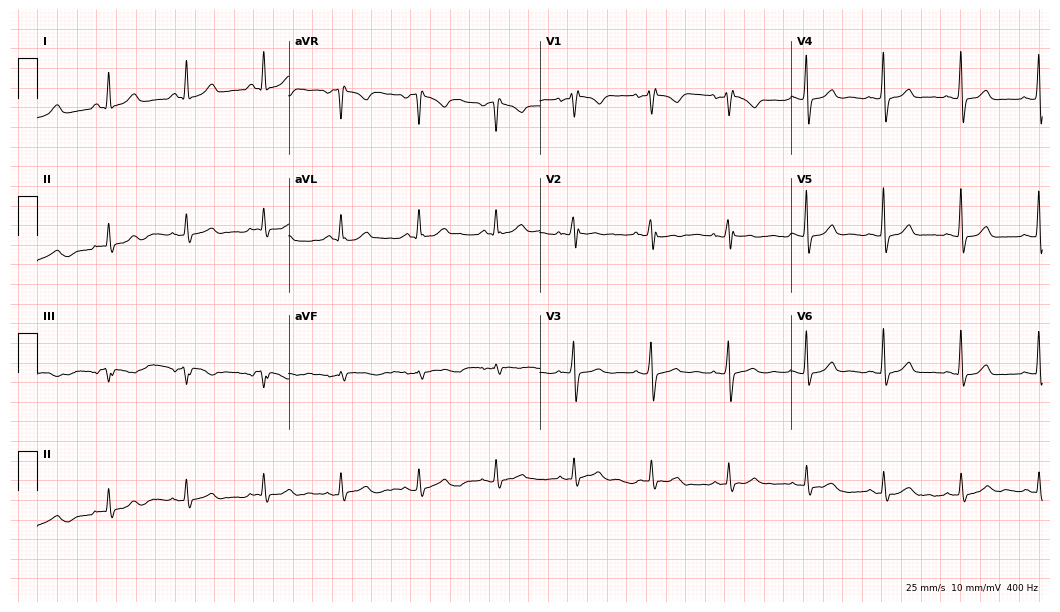
Standard 12-lead ECG recorded from a female, 53 years old. Read as a normal ECG.